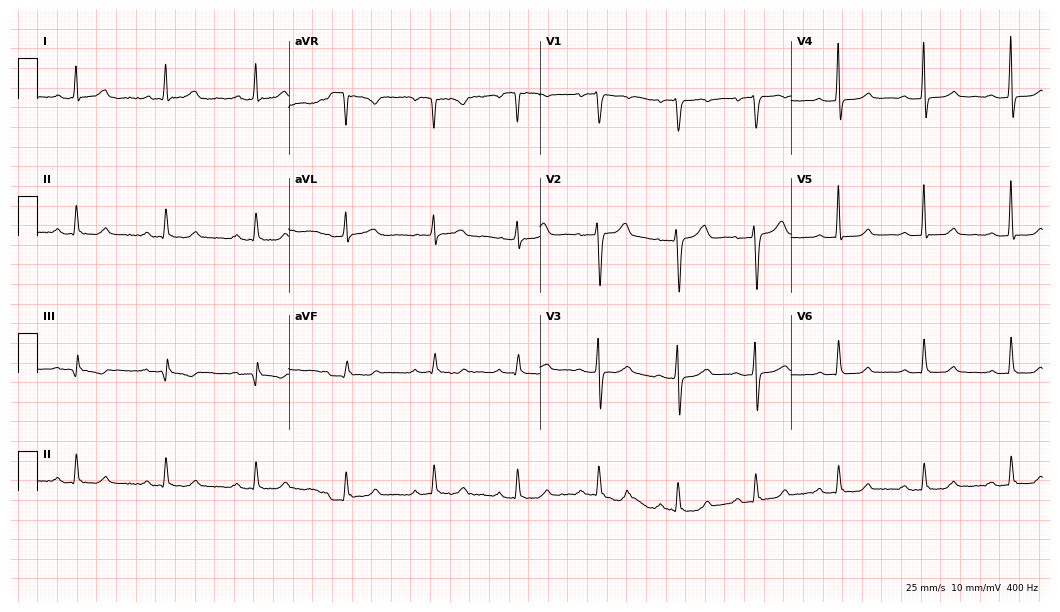
12-lead ECG from a female, 56 years old (10.2-second recording at 400 Hz). No first-degree AV block, right bundle branch block, left bundle branch block, sinus bradycardia, atrial fibrillation or sinus tachycardia recorded for this tracing. Other findings, if any, are not listed.